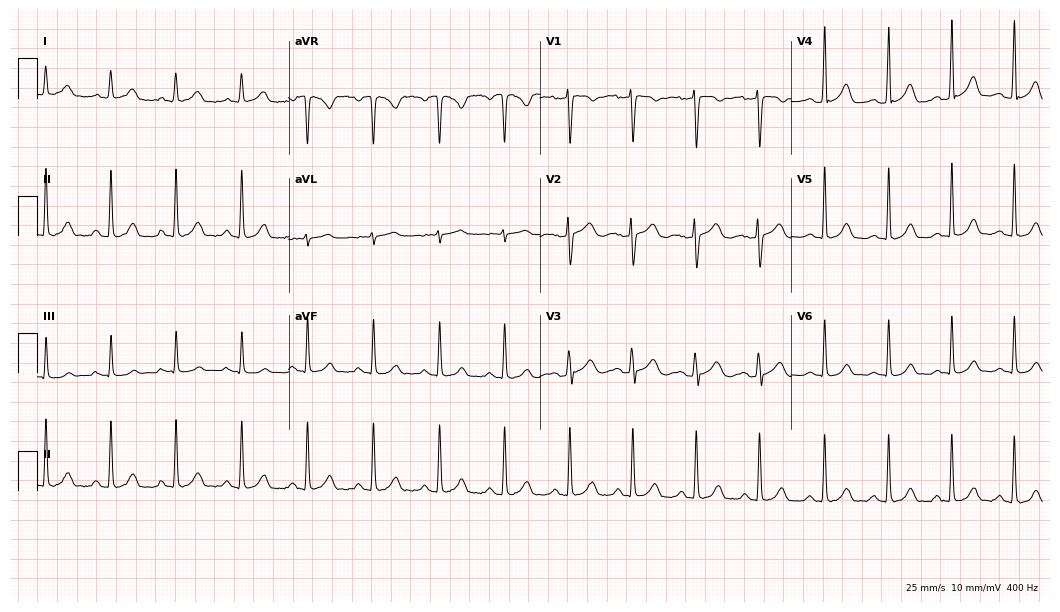
12-lead ECG (10.2-second recording at 400 Hz) from a 48-year-old female. Screened for six findings — first-degree AV block, right bundle branch block, left bundle branch block, sinus bradycardia, atrial fibrillation, sinus tachycardia — none is recorded. Findings outside these six are not listed.